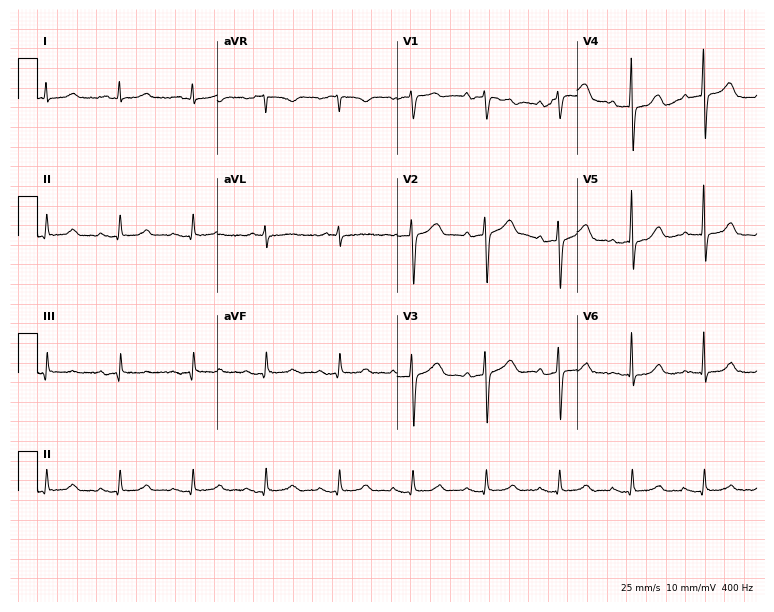
Electrocardiogram, a 79-year-old male. Of the six screened findings (first-degree AV block, right bundle branch block, left bundle branch block, sinus bradycardia, atrial fibrillation, sinus tachycardia), none is recorded.